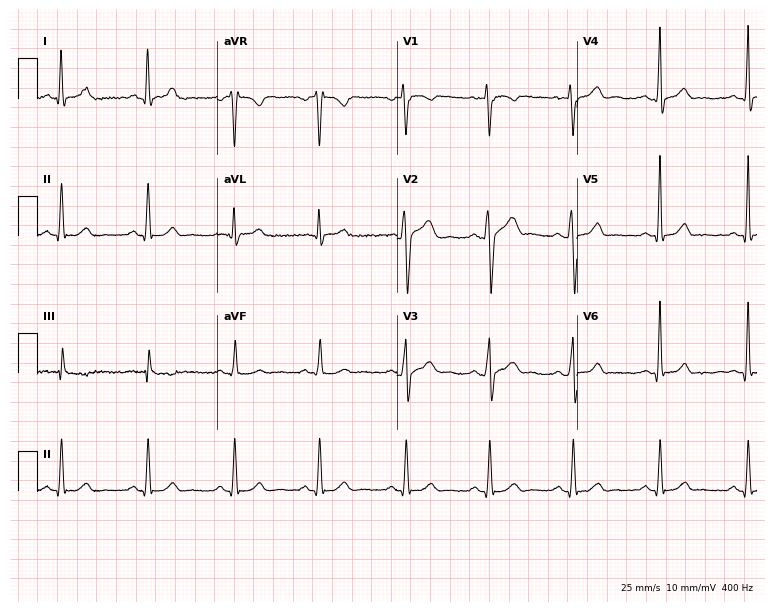
Standard 12-lead ECG recorded from a man, 39 years old. Read as a normal ECG.